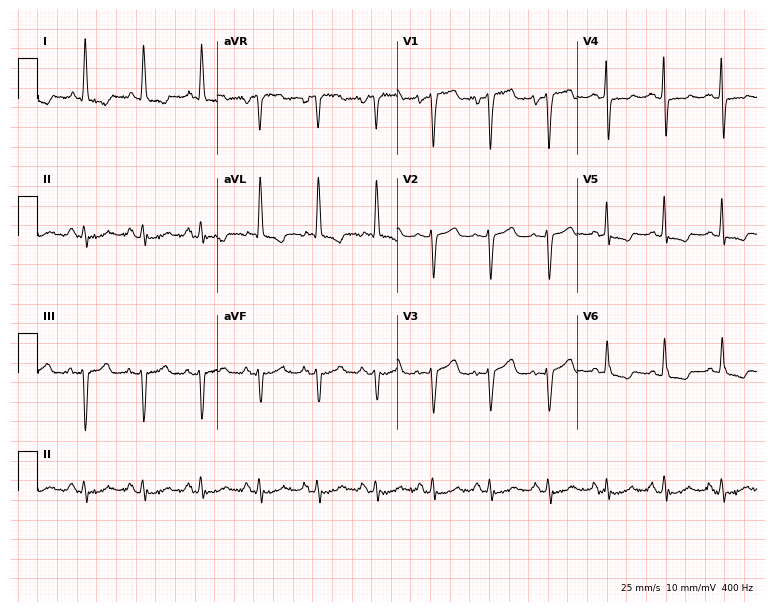
Resting 12-lead electrocardiogram (7.3-second recording at 400 Hz). Patient: a 56-year-old female. None of these six findings is recorded: first-degree AV block, right bundle branch block (RBBB), left bundle branch block (LBBB), sinus bradycardia, atrial fibrillation (AF), sinus tachycardia. Only these six findings were labelled.